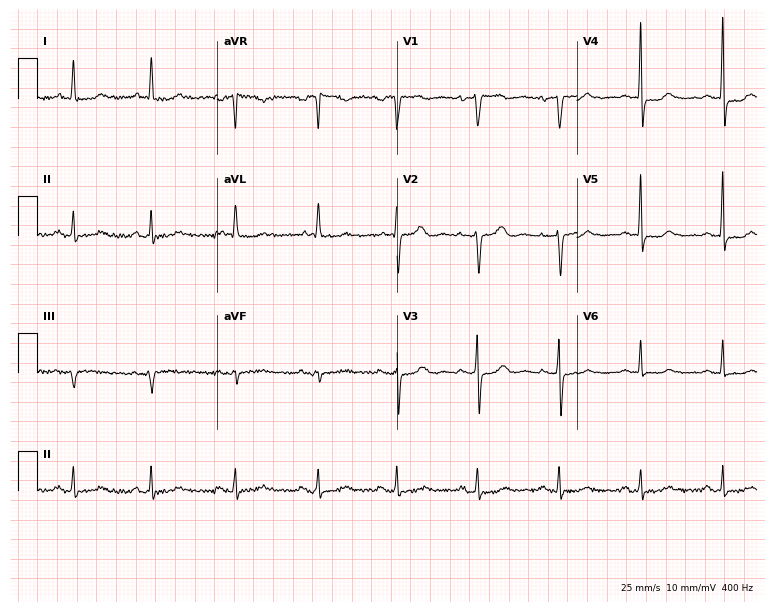
12-lead ECG from a 74-year-old woman (7.3-second recording at 400 Hz). No first-degree AV block, right bundle branch block (RBBB), left bundle branch block (LBBB), sinus bradycardia, atrial fibrillation (AF) or sinus tachycardia recorded for this tracing.